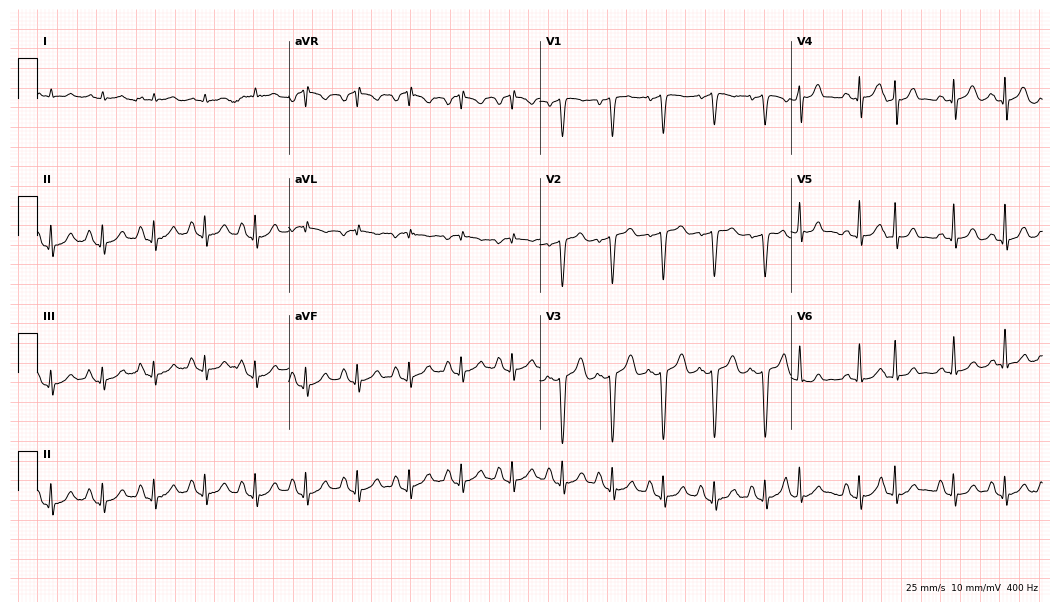
12-lead ECG from a 72-year-old man. No first-degree AV block, right bundle branch block, left bundle branch block, sinus bradycardia, atrial fibrillation or sinus tachycardia recorded for this tracing.